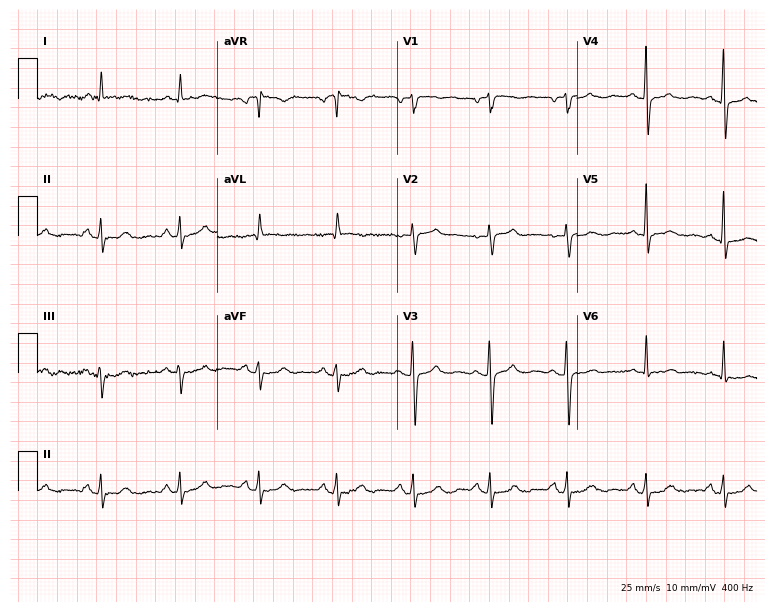
Electrocardiogram (7.3-second recording at 400 Hz), a male, 65 years old. Of the six screened findings (first-degree AV block, right bundle branch block (RBBB), left bundle branch block (LBBB), sinus bradycardia, atrial fibrillation (AF), sinus tachycardia), none is recorded. Other findings, if any, are not listed.